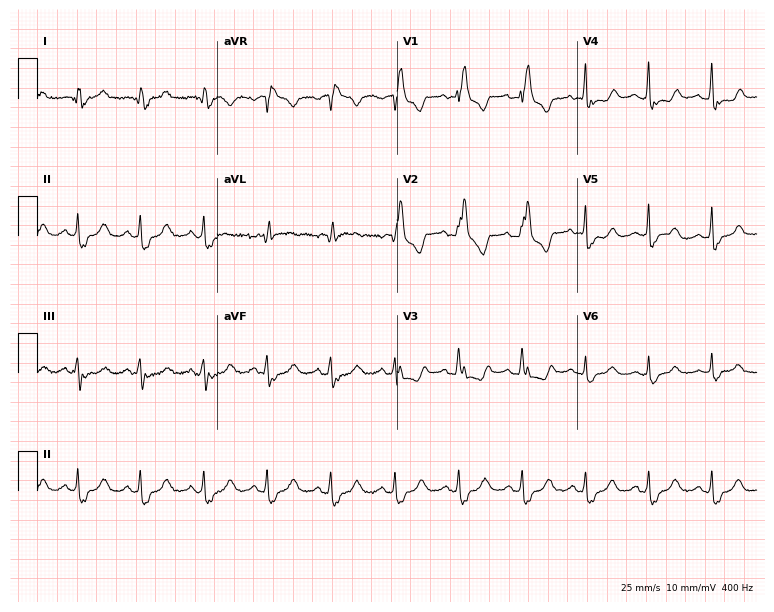
12-lead ECG from a 76-year-old female. Findings include right bundle branch block.